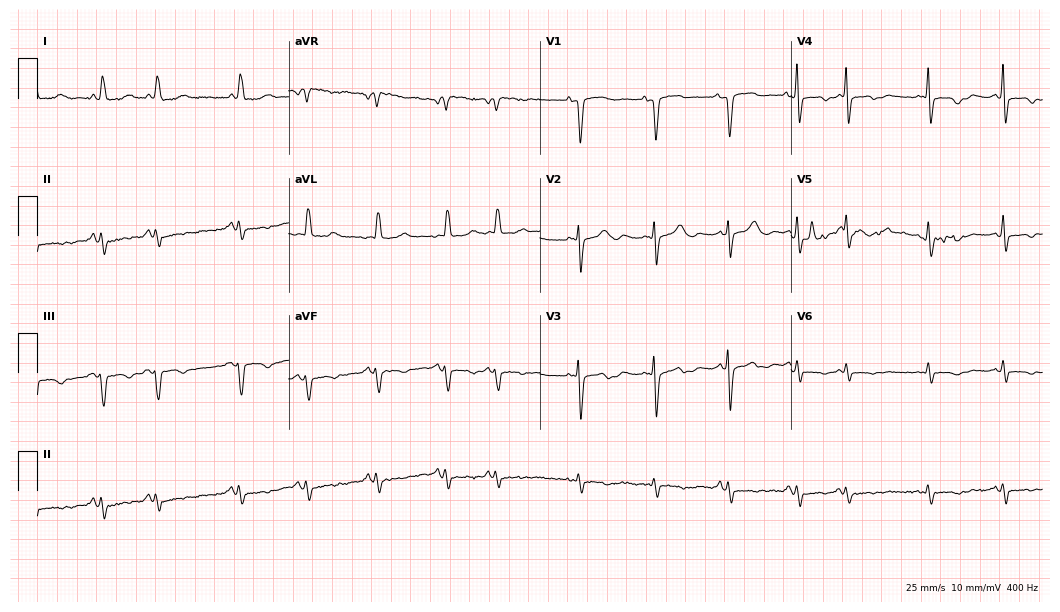
12-lead ECG (10.2-second recording at 400 Hz) from a female patient, 81 years old. Screened for six findings — first-degree AV block, right bundle branch block, left bundle branch block, sinus bradycardia, atrial fibrillation, sinus tachycardia — none is recorded.